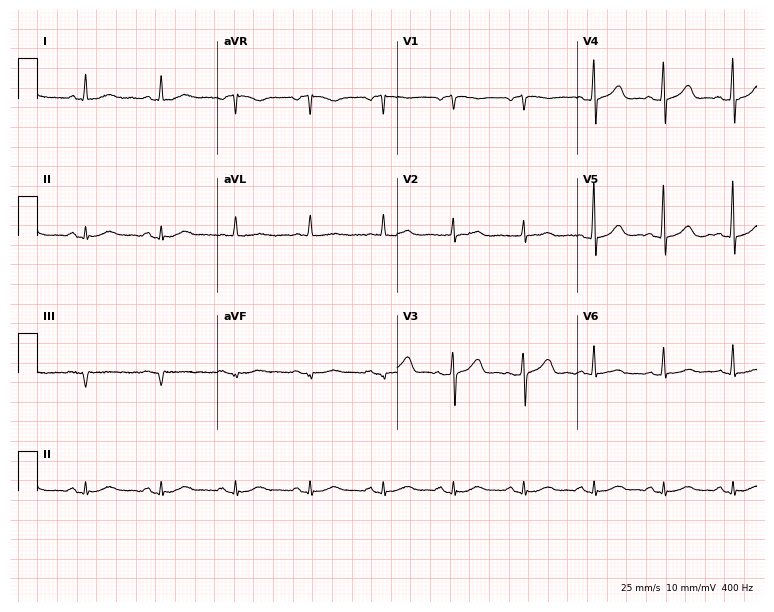
Electrocardiogram, a 67-year-old male. Of the six screened findings (first-degree AV block, right bundle branch block (RBBB), left bundle branch block (LBBB), sinus bradycardia, atrial fibrillation (AF), sinus tachycardia), none is recorded. Other findings, if any, are not listed.